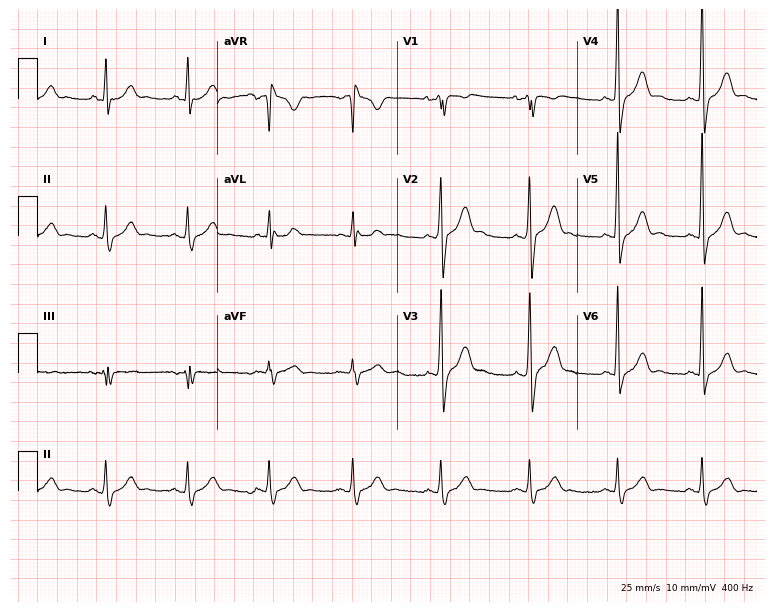
ECG (7.3-second recording at 400 Hz) — a male, 26 years old. Screened for six findings — first-degree AV block, right bundle branch block, left bundle branch block, sinus bradycardia, atrial fibrillation, sinus tachycardia — none is recorded. Findings outside these six are not listed.